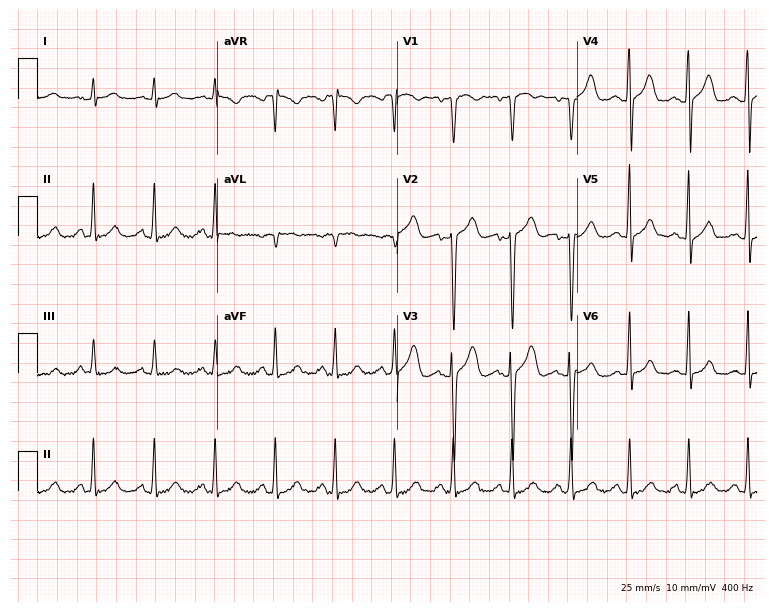
ECG (7.3-second recording at 400 Hz) — a 31-year-old woman. Labelled as a normal ECG.